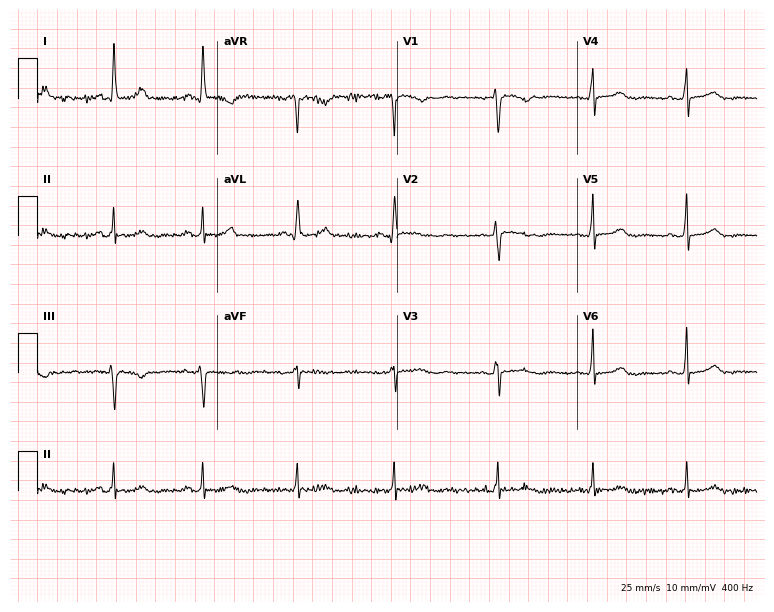
Electrocardiogram, a 64-year-old female patient. Of the six screened findings (first-degree AV block, right bundle branch block, left bundle branch block, sinus bradycardia, atrial fibrillation, sinus tachycardia), none is recorded. Findings outside these six are not listed.